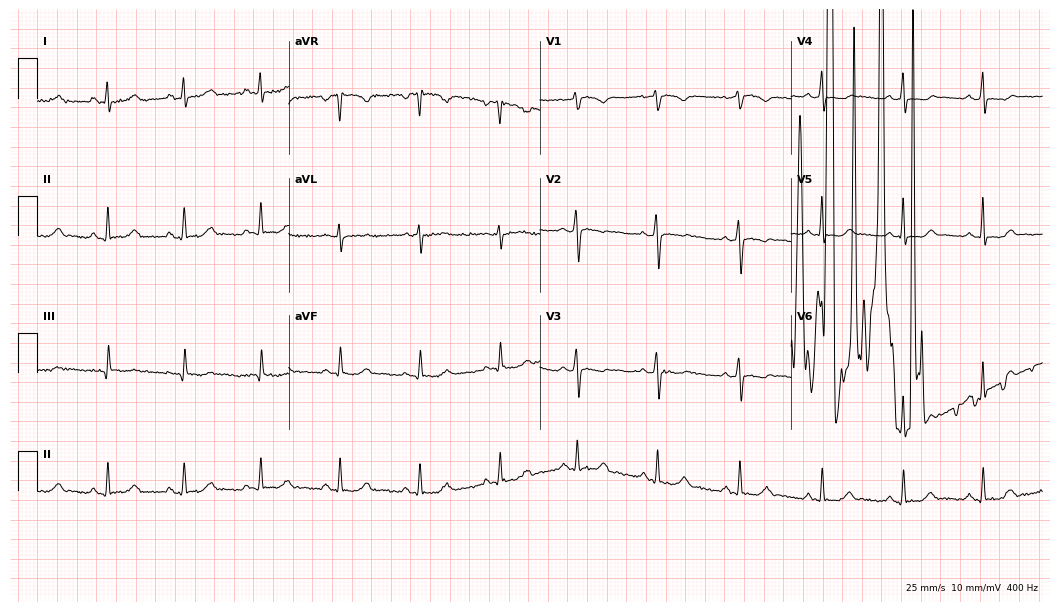
Standard 12-lead ECG recorded from a woman, 44 years old (10.2-second recording at 400 Hz). None of these six findings is recorded: first-degree AV block, right bundle branch block (RBBB), left bundle branch block (LBBB), sinus bradycardia, atrial fibrillation (AF), sinus tachycardia.